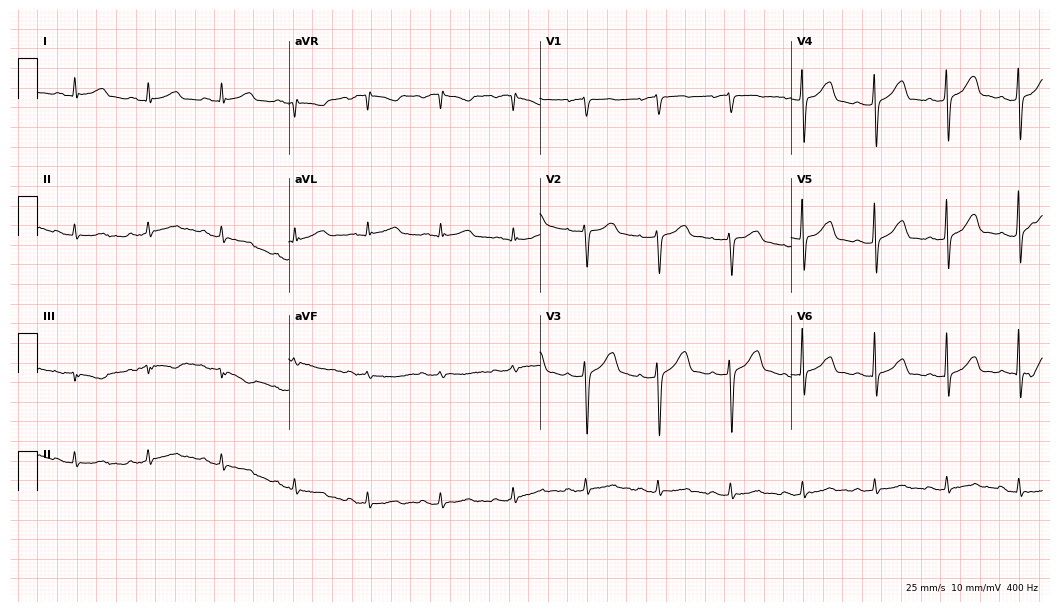
Standard 12-lead ECG recorded from a male, 78 years old (10.2-second recording at 400 Hz). Read as a normal ECG.